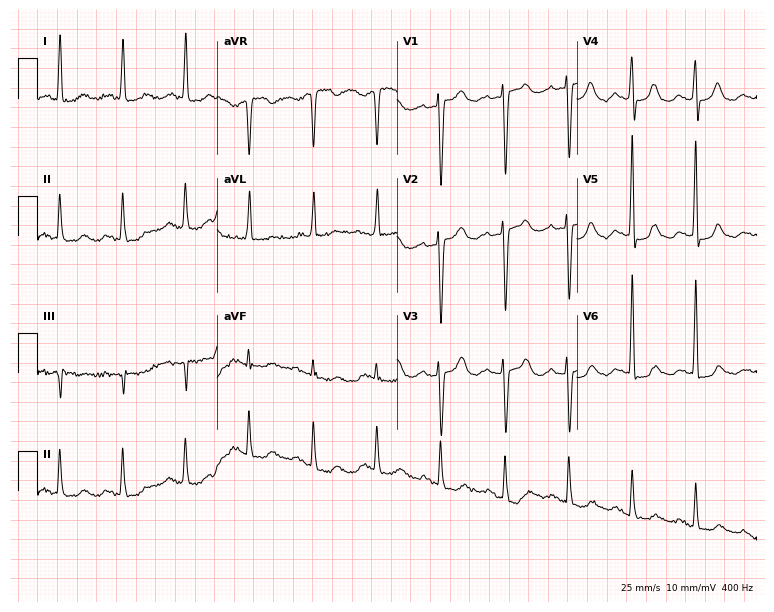
ECG (7.3-second recording at 400 Hz) — a woman, 77 years old. Screened for six findings — first-degree AV block, right bundle branch block (RBBB), left bundle branch block (LBBB), sinus bradycardia, atrial fibrillation (AF), sinus tachycardia — none is recorded. Only these six findings were labelled.